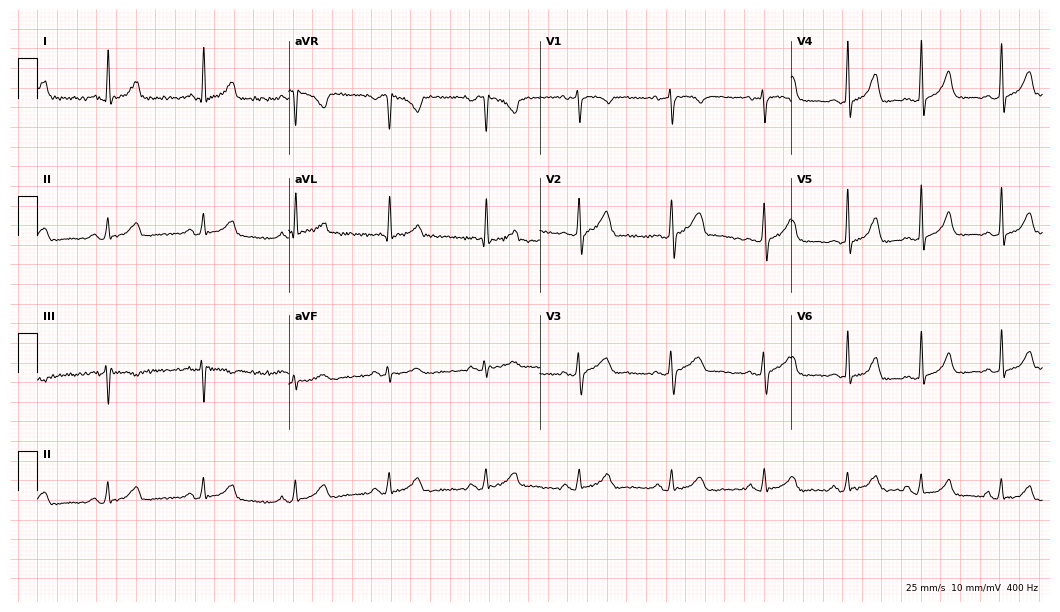
Electrocardiogram, a woman, 43 years old. Overall reading on record: normal ECG.